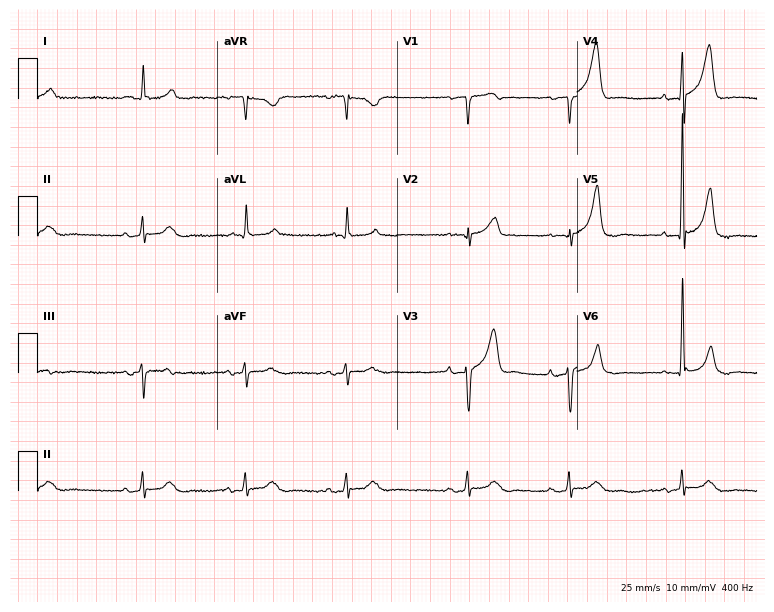
Resting 12-lead electrocardiogram (7.3-second recording at 400 Hz). Patient: a male, 80 years old. Read as a normal ECG.